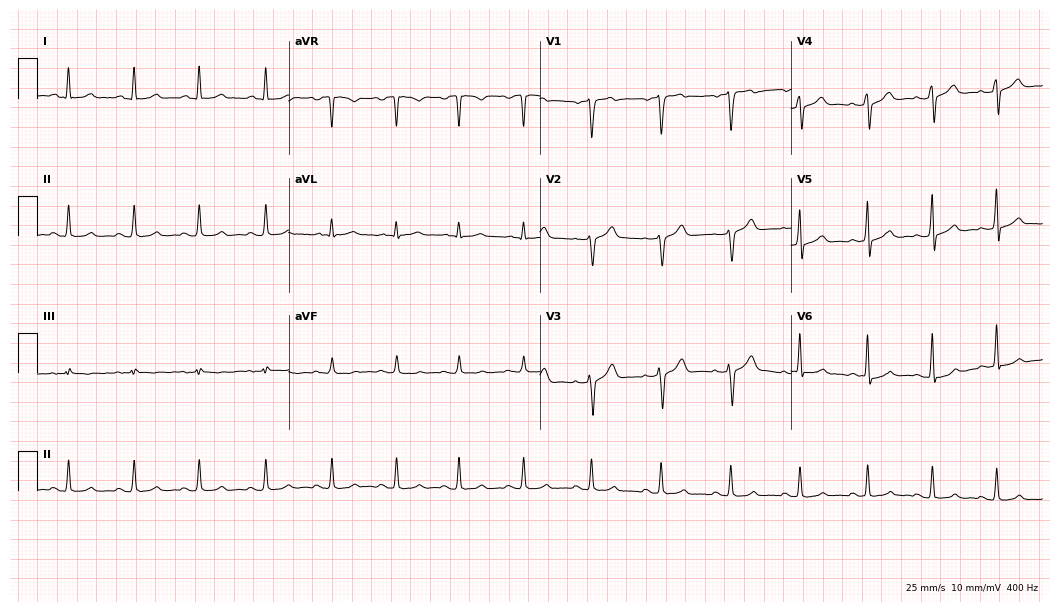
Electrocardiogram (10.2-second recording at 400 Hz), a male, 54 years old. Of the six screened findings (first-degree AV block, right bundle branch block (RBBB), left bundle branch block (LBBB), sinus bradycardia, atrial fibrillation (AF), sinus tachycardia), none is recorded. Only these six findings were labelled.